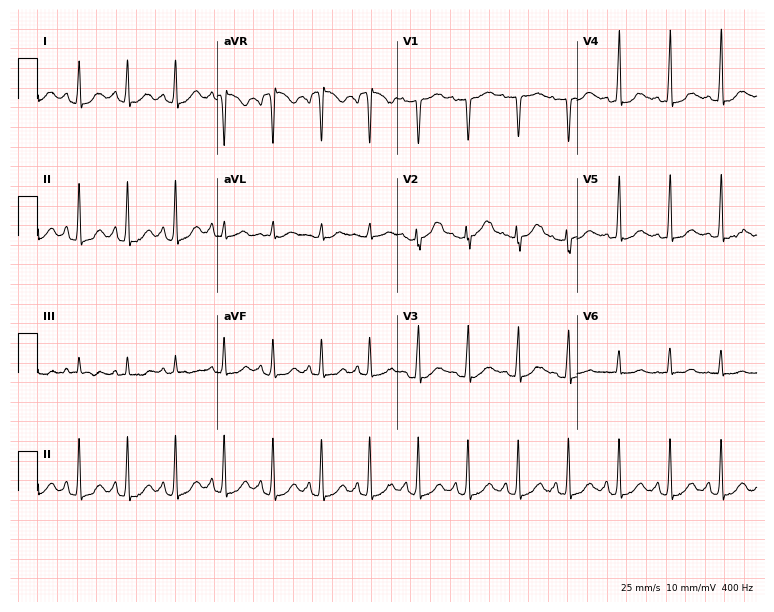
12-lead ECG from a 22-year-old woman. Shows sinus tachycardia (a sinus rate of 100 beats per minute or more).